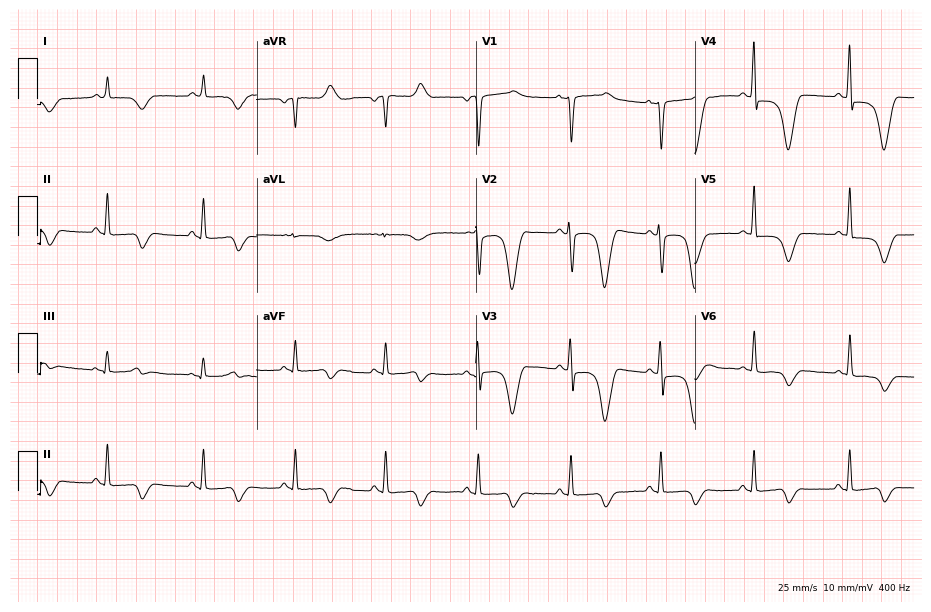
12-lead ECG from a 32-year-old woman. No first-degree AV block, right bundle branch block, left bundle branch block, sinus bradycardia, atrial fibrillation or sinus tachycardia recorded for this tracing. Other findings, if any, are not listed.